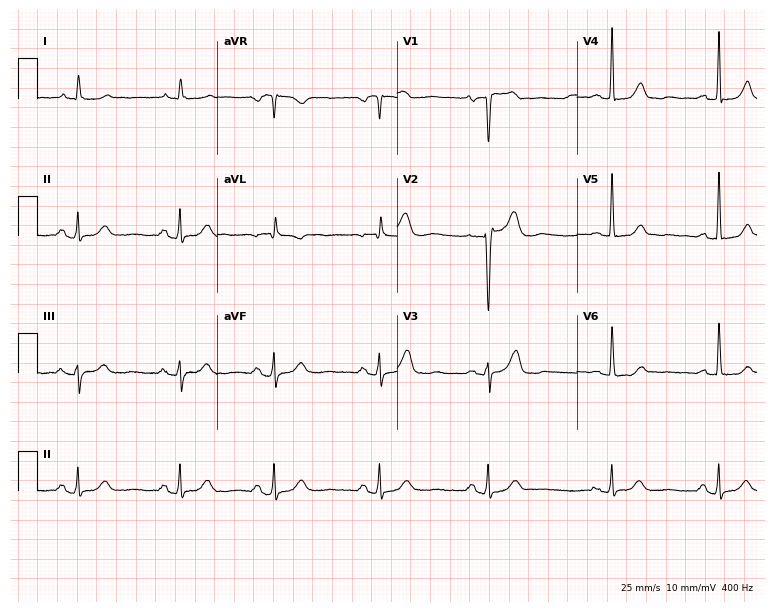
Standard 12-lead ECG recorded from a 60-year-old female. None of these six findings is recorded: first-degree AV block, right bundle branch block (RBBB), left bundle branch block (LBBB), sinus bradycardia, atrial fibrillation (AF), sinus tachycardia. Other findings, if any, are not listed.